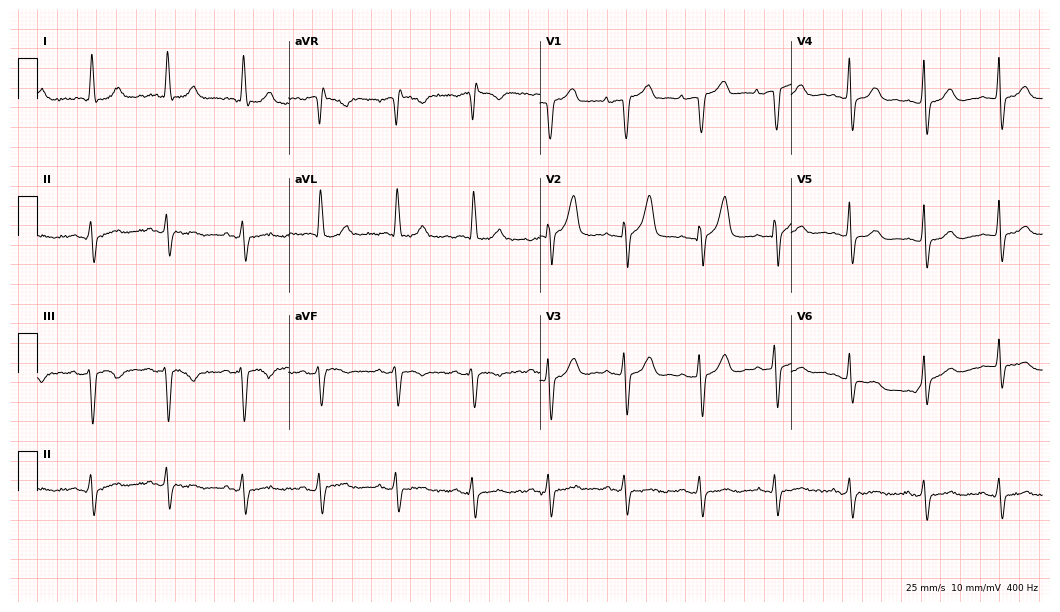
Resting 12-lead electrocardiogram (10.2-second recording at 400 Hz). Patient: a male, 85 years old. None of these six findings is recorded: first-degree AV block, right bundle branch block, left bundle branch block, sinus bradycardia, atrial fibrillation, sinus tachycardia.